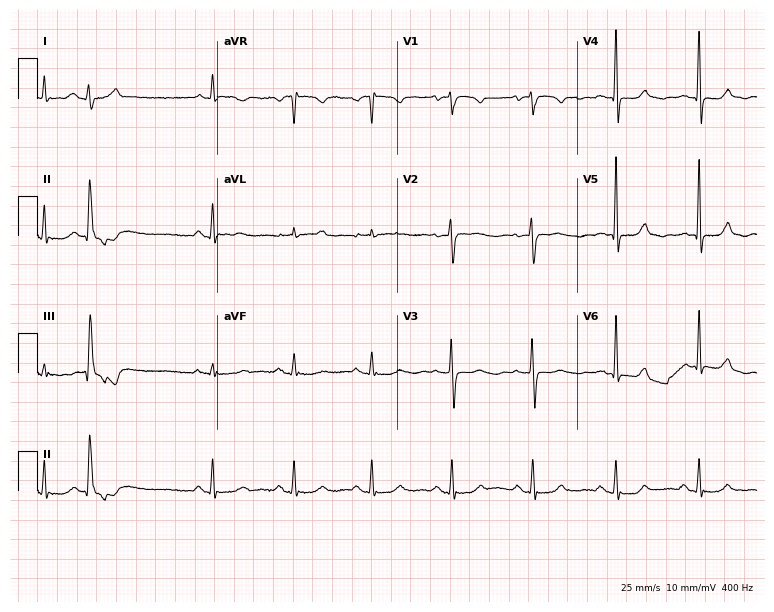
ECG — a 74-year-old woman. Screened for six findings — first-degree AV block, right bundle branch block, left bundle branch block, sinus bradycardia, atrial fibrillation, sinus tachycardia — none is recorded. Only these six findings were labelled.